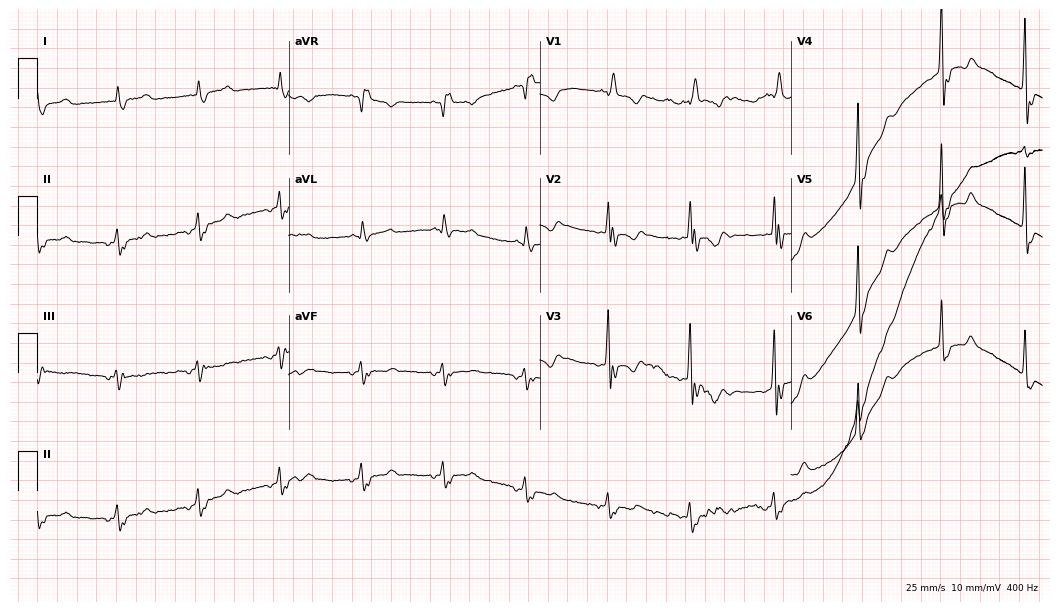
12-lead ECG from a man, 77 years old. Shows right bundle branch block.